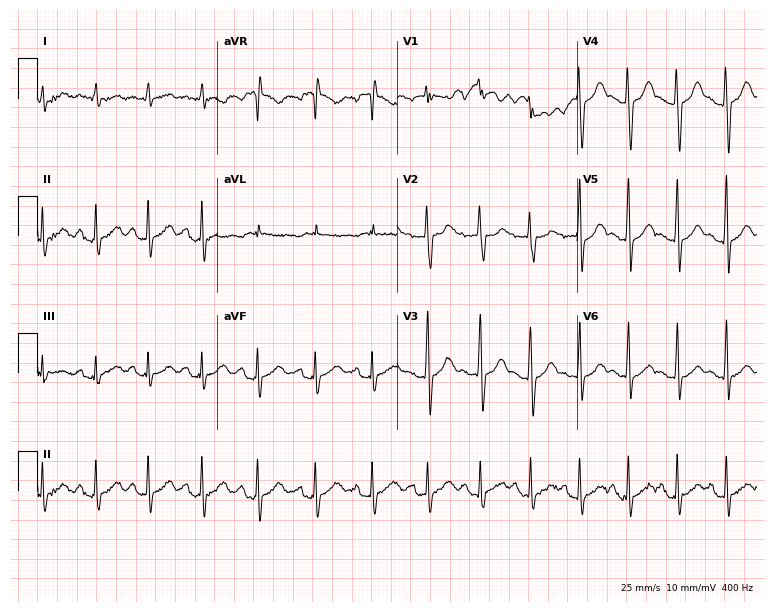
12-lead ECG (7.3-second recording at 400 Hz) from a 26-year-old man. Findings include sinus tachycardia (a sinus rate of 100 beats per minute or more).